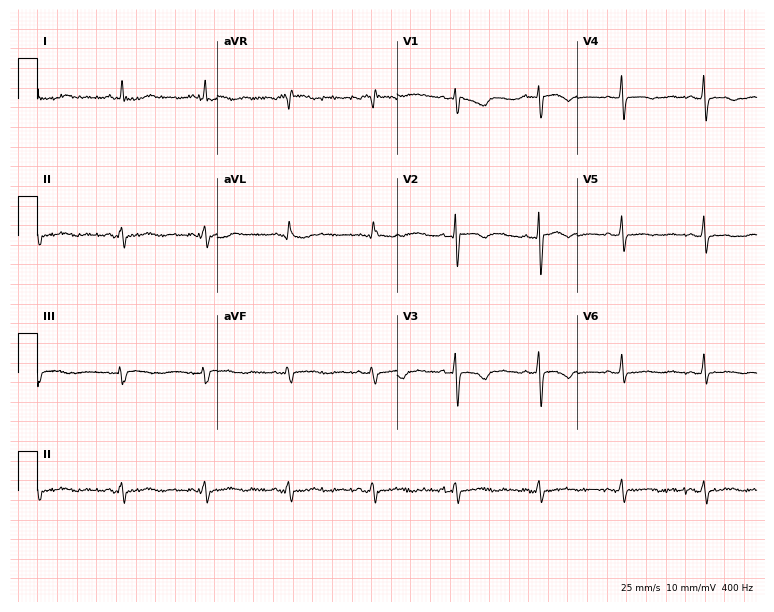
12-lead ECG from a 35-year-old female (7.3-second recording at 400 Hz). No first-degree AV block, right bundle branch block, left bundle branch block, sinus bradycardia, atrial fibrillation or sinus tachycardia recorded for this tracing.